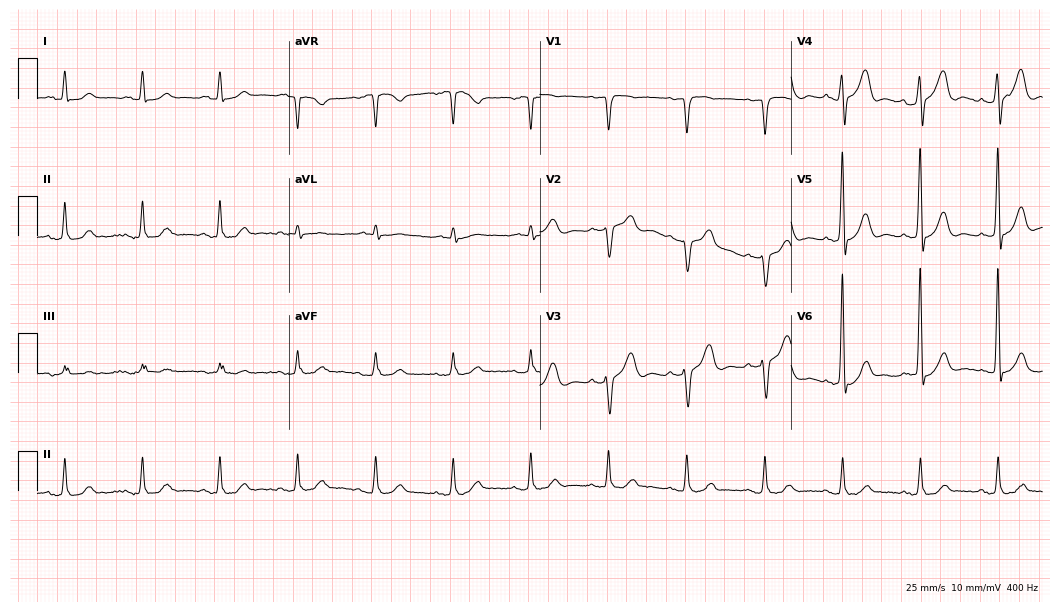
Standard 12-lead ECG recorded from a 79-year-old male patient. Read as a normal ECG.